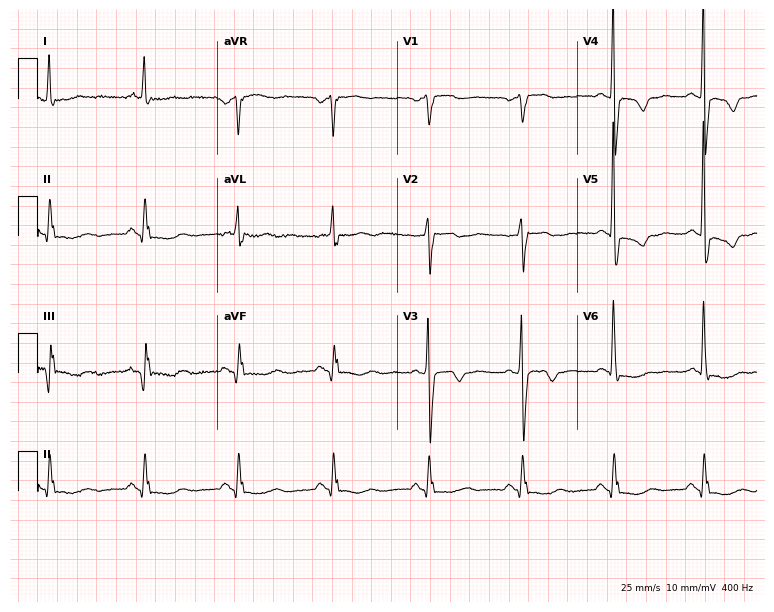
ECG (7.3-second recording at 400 Hz) — a male patient, 60 years old. Screened for six findings — first-degree AV block, right bundle branch block (RBBB), left bundle branch block (LBBB), sinus bradycardia, atrial fibrillation (AF), sinus tachycardia — none is recorded. Findings outside these six are not listed.